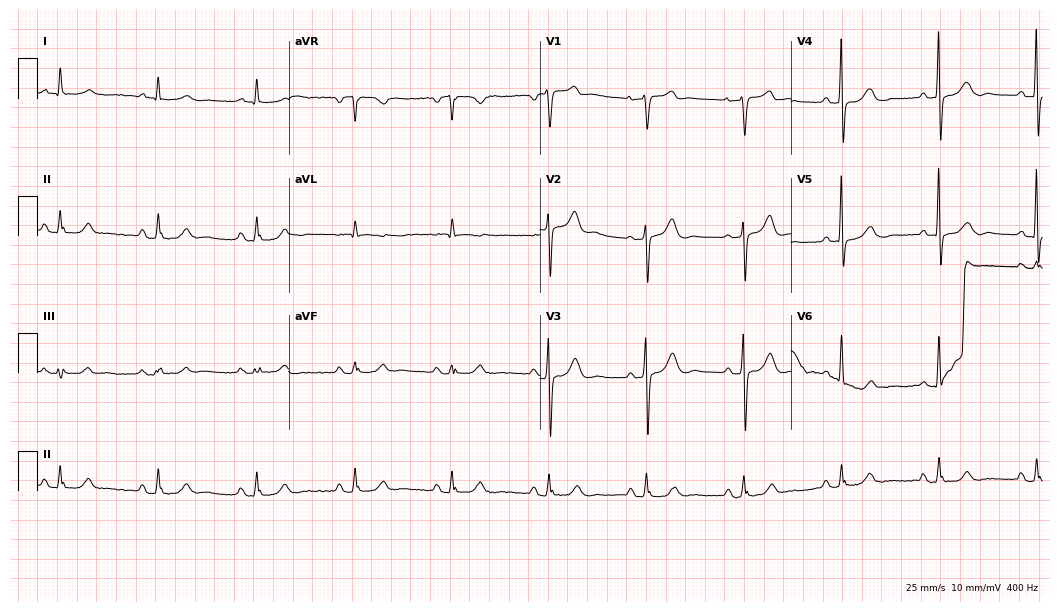
Standard 12-lead ECG recorded from a man, 77 years old. Read as a normal ECG.